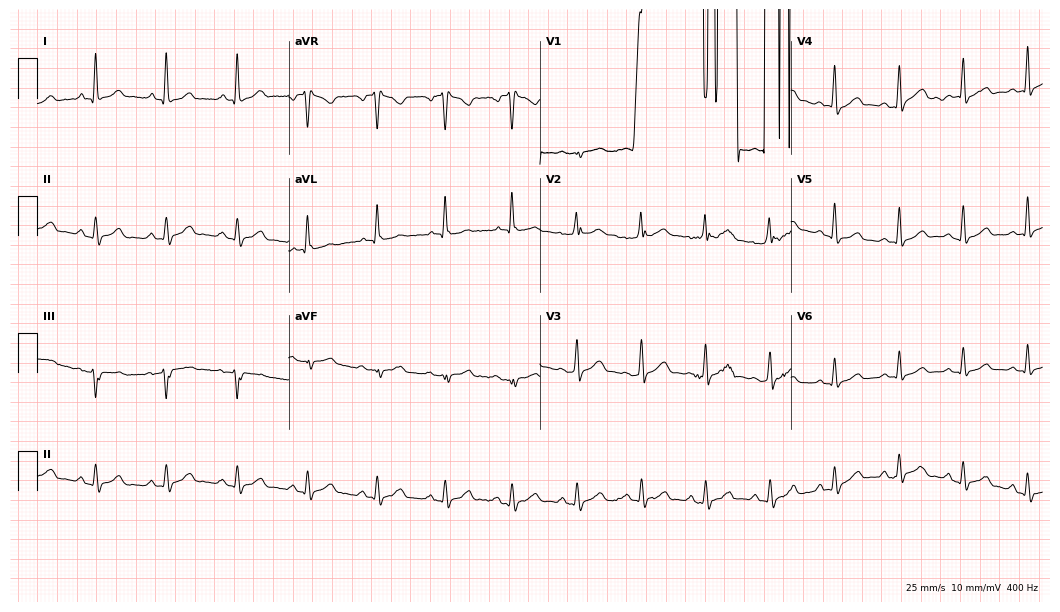
Resting 12-lead electrocardiogram (10.2-second recording at 400 Hz). Patient: a 33-year-old male. None of these six findings is recorded: first-degree AV block, right bundle branch block, left bundle branch block, sinus bradycardia, atrial fibrillation, sinus tachycardia. Only these six findings were labelled.